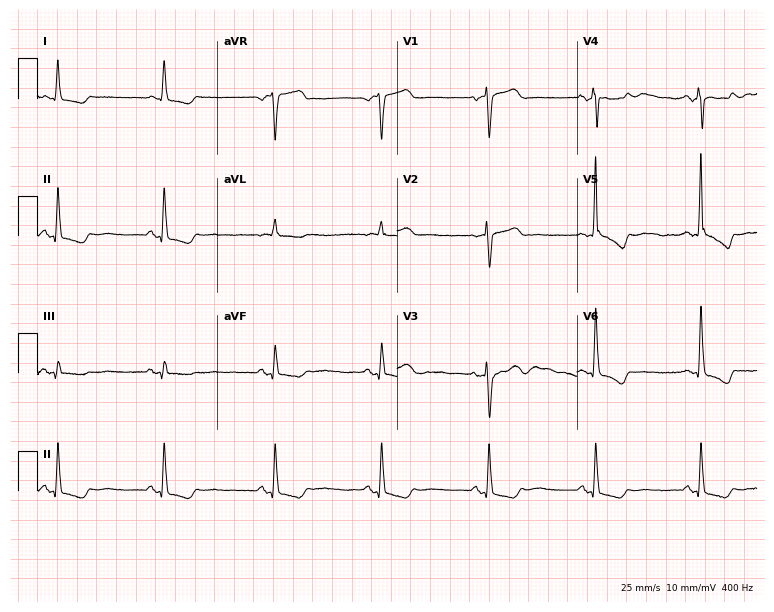
ECG (7.3-second recording at 400 Hz) — a 74-year-old female patient. Screened for six findings — first-degree AV block, right bundle branch block, left bundle branch block, sinus bradycardia, atrial fibrillation, sinus tachycardia — none is recorded.